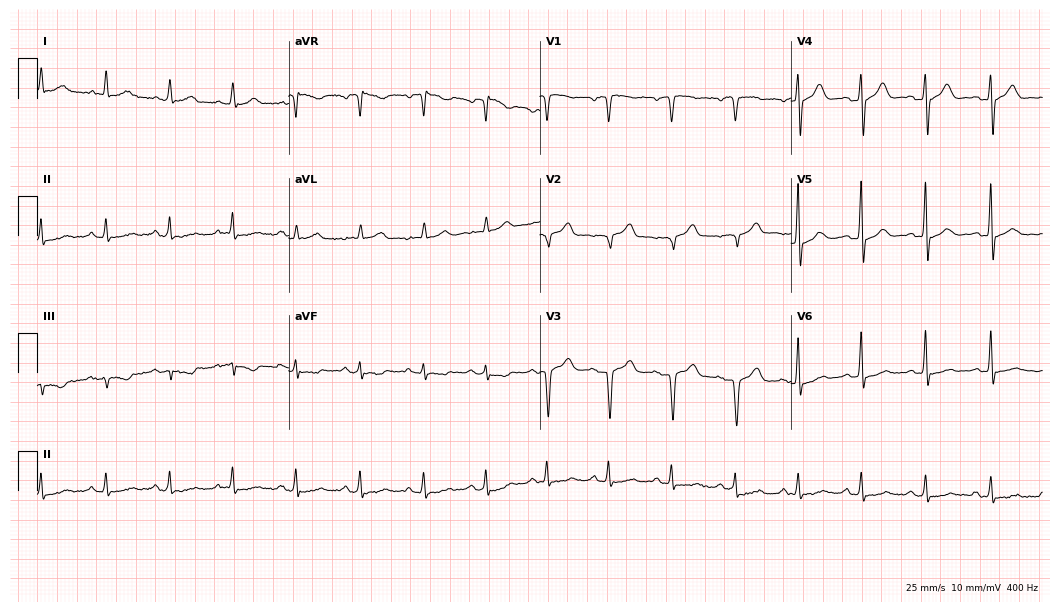
12-lead ECG from a woman, 85 years old. No first-degree AV block, right bundle branch block, left bundle branch block, sinus bradycardia, atrial fibrillation or sinus tachycardia recorded for this tracing. Findings outside these six are not listed.